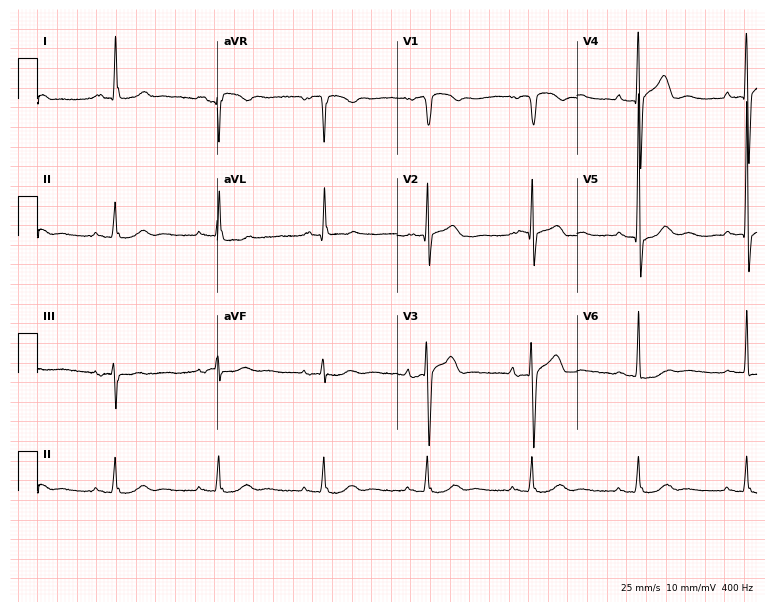
Standard 12-lead ECG recorded from a male, 63 years old. None of these six findings is recorded: first-degree AV block, right bundle branch block, left bundle branch block, sinus bradycardia, atrial fibrillation, sinus tachycardia.